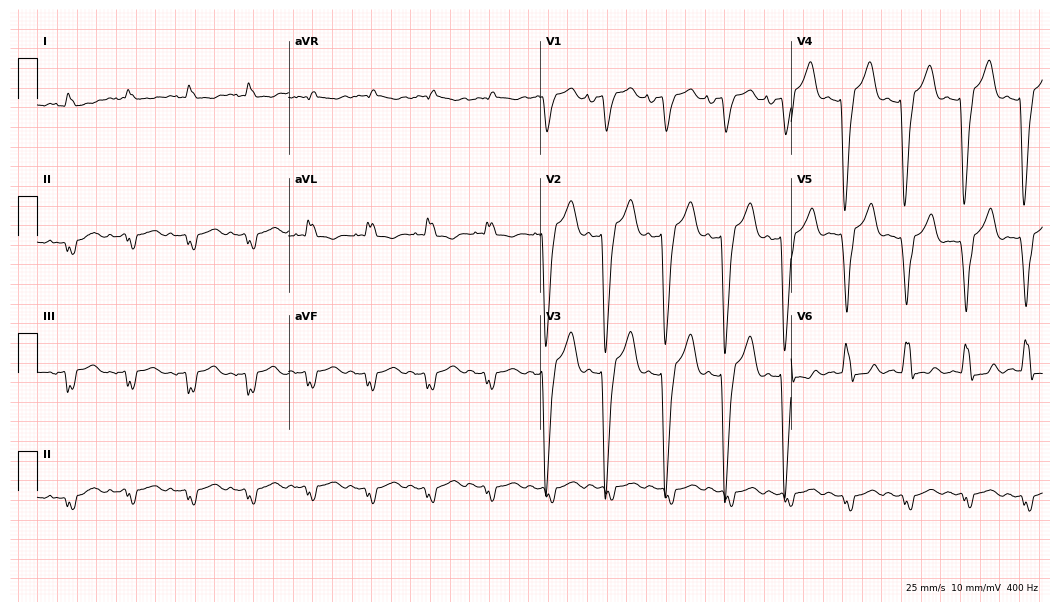
Standard 12-lead ECG recorded from a male, 47 years old (10.2-second recording at 400 Hz). The tracing shows left bundle branch block.